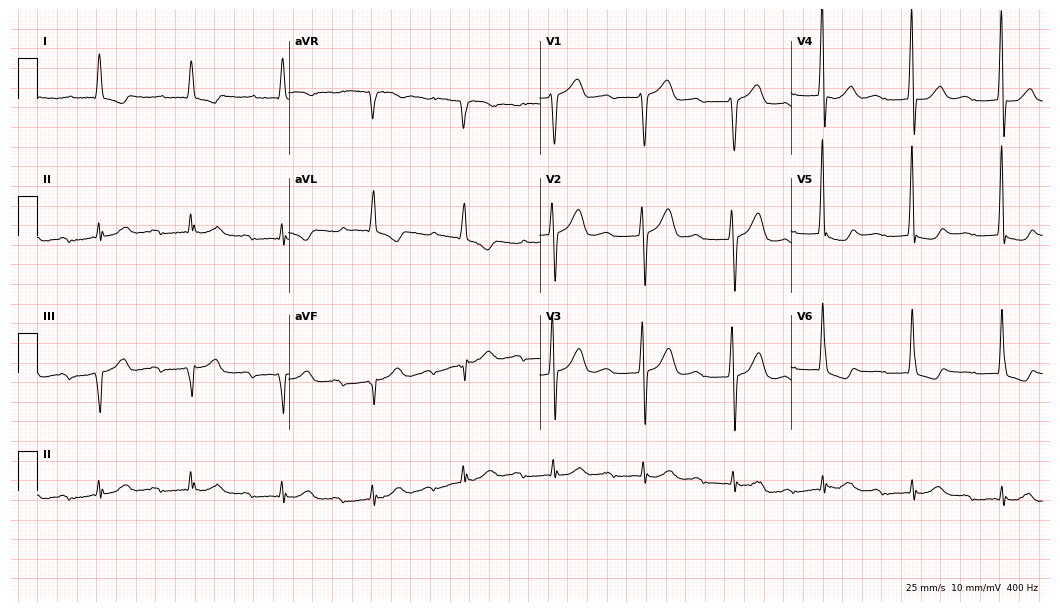
ECG — a man, 78 years old. Findings include first-degree AV block.